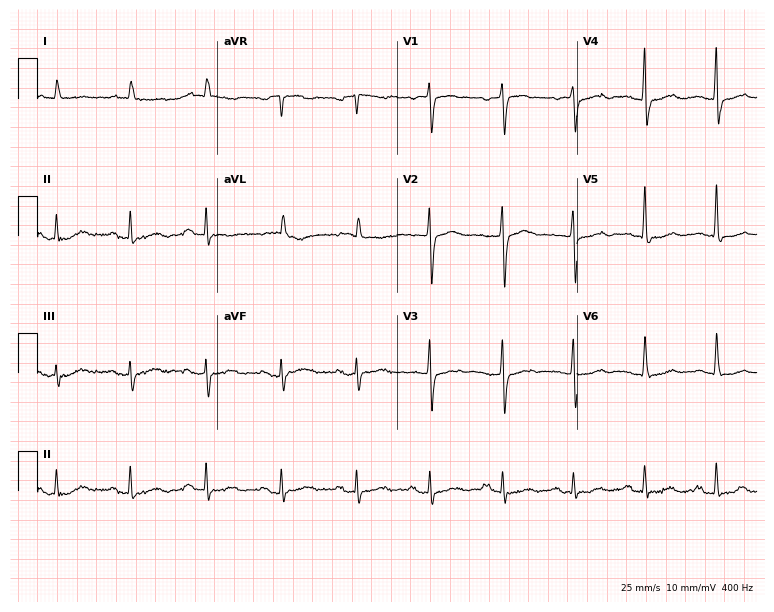
Standard 12-lead ECG recorded from a female patient, 80 years old. None of these six findings is recorded: first-degree AV block, right bundle branch block, left bundle branch block, sinus bradycardia, atrial fibrillation, sinus tachycardia.